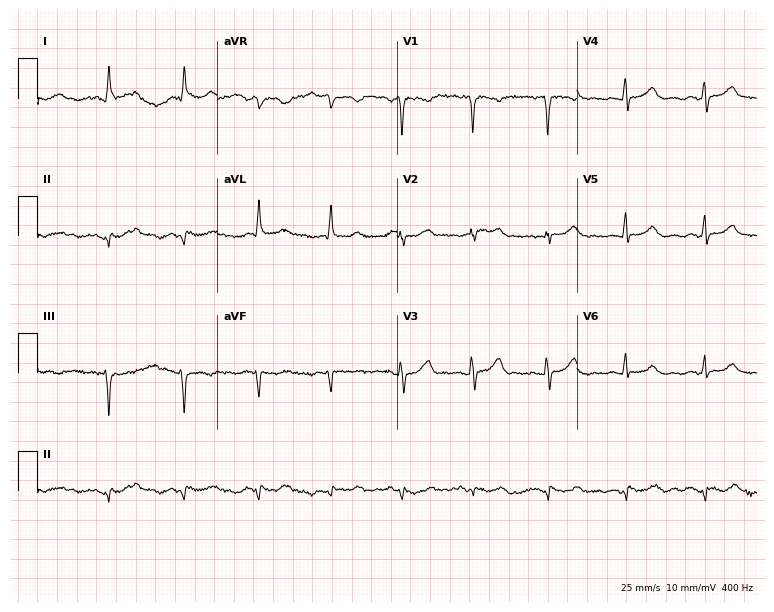
12-lead ECG from a 51-year-old female patient. No first-degree AV block, right bundle branch block, left bundle branch block, sinus bradycardia, atrial fibrillation or sinus tachycardia recorded for this tracing.